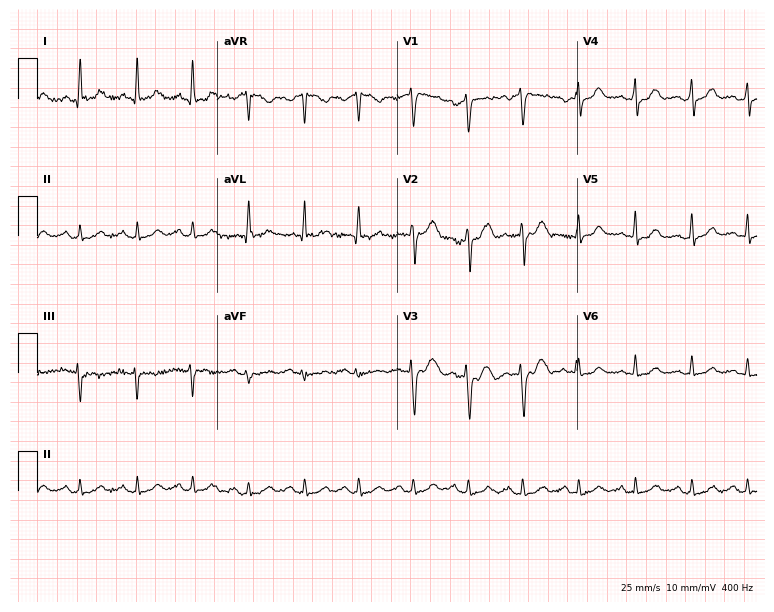
Standard 12-lead ECG recorded from a 37-year-old woman. The tracing shows sinus tachycardia (a sinus rate of 100 beats per minute or more).